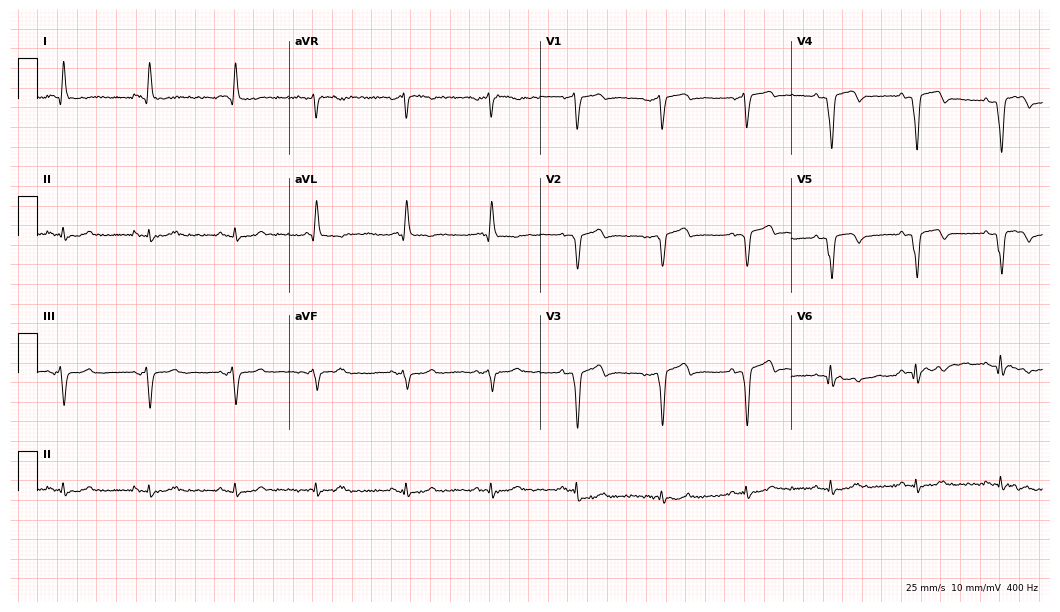
12-lead ECG (10.2-second recording at 400 Hz) from a male patient, 78 years old. Screened for six findings — first-degree AV block, right bundle branch block, left bundle branch block, sinus bradycardia, atrial fibrillation, sinus tachycardia — none is recorded. Only these six findings were labelled.